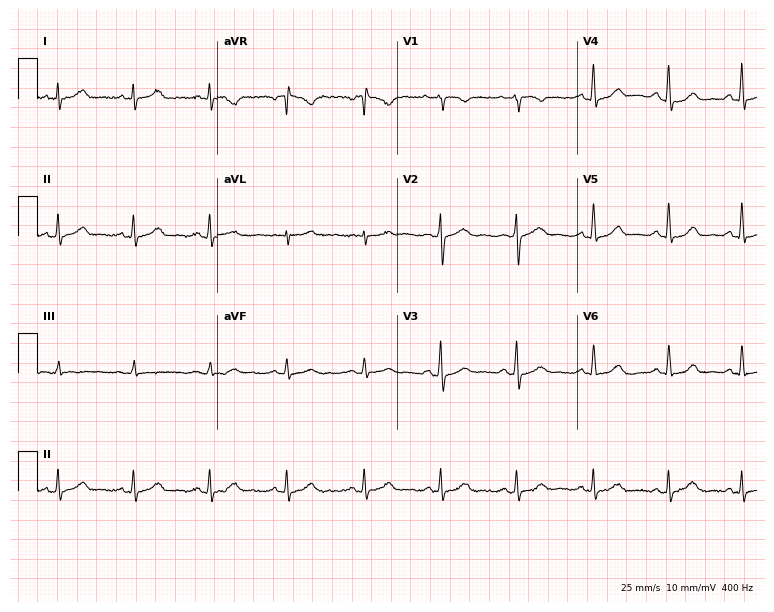
Standard 12-lead ECG recorded from a 49-year-old woman. None of these six findings is recorded: first-degree AV block, right bundle branch block, left bundle branch block, sinus bradycardia, atrial fibrillation, sinus tachycardia. Other findings, if any, are not listed.